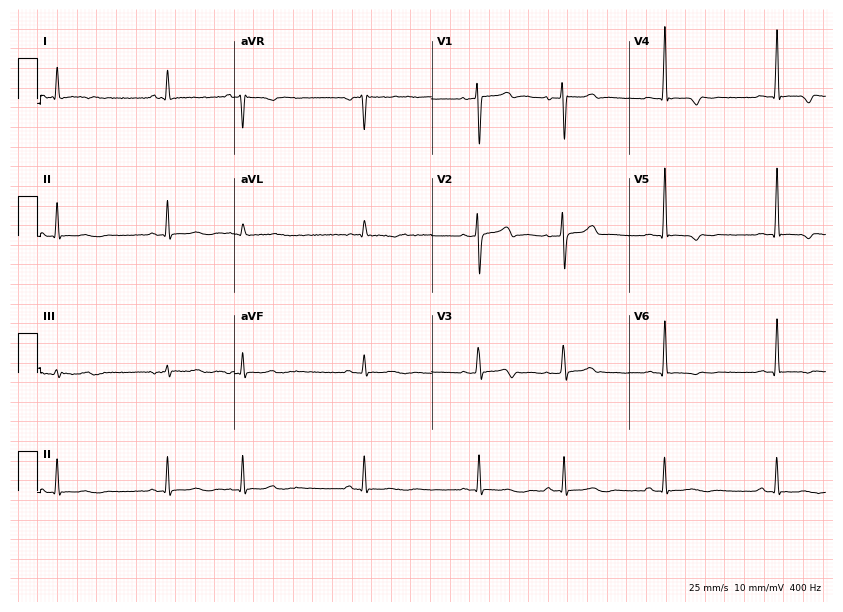
Resting 12-lead electrocardiogram (8-second recording at 400 Hz). Patient: a woman, 20 years old. None of these six findings is recorded: first-degree AV block, right bundle branch block (RBBB), left bundle branch block (LBBB), sinus bradycardia, atrial fibrillation (AF), sinus tachycardia.